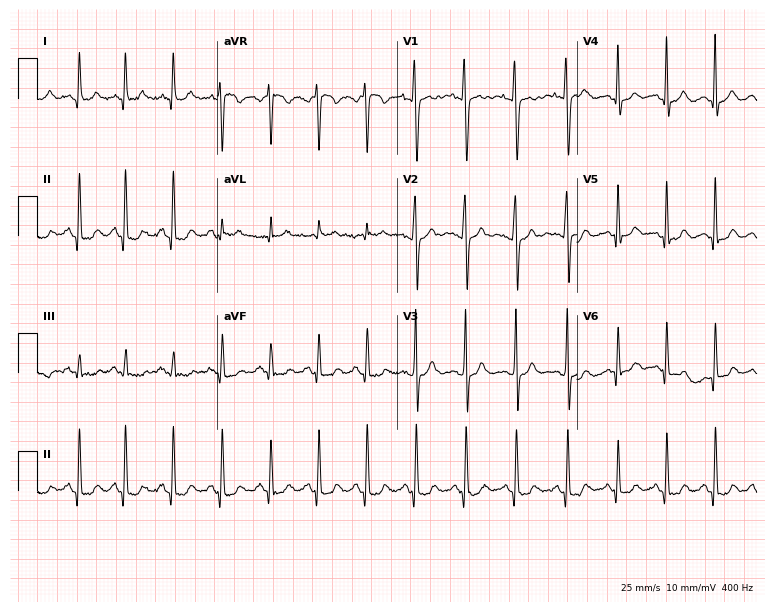
Resting 12-lead electrocardiogram. Patient: a 27-year-old female. The tracing shows sinus tachycardia (a sinus rate of 100 beats per minute or more).